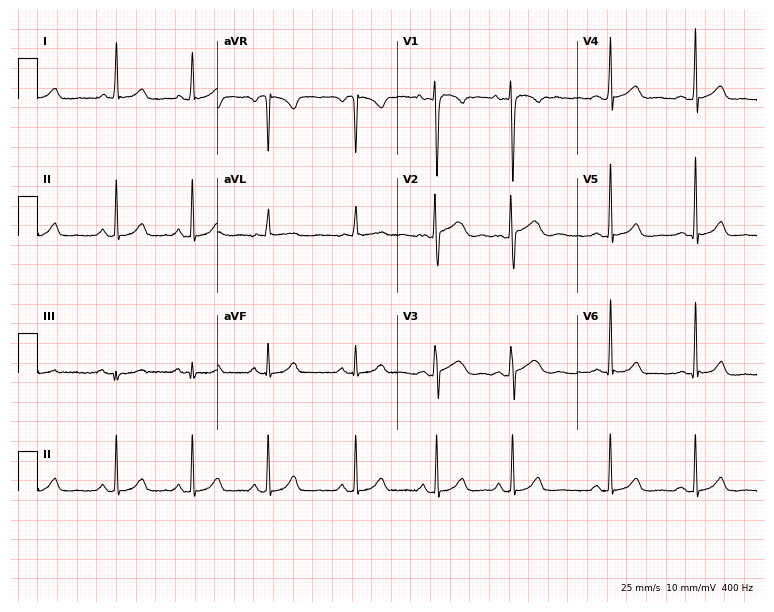
Electrocardiogram (7.3-second recording at 400 Hz), a 35-year-old female patient. Of the six screened findings (first-degree AV block, right bundle branch block (RBBB), left bundle branch block (LBBB), sinus bradycardia, atrial fibrillation (AF), sinus tachycardia), none is recorded.